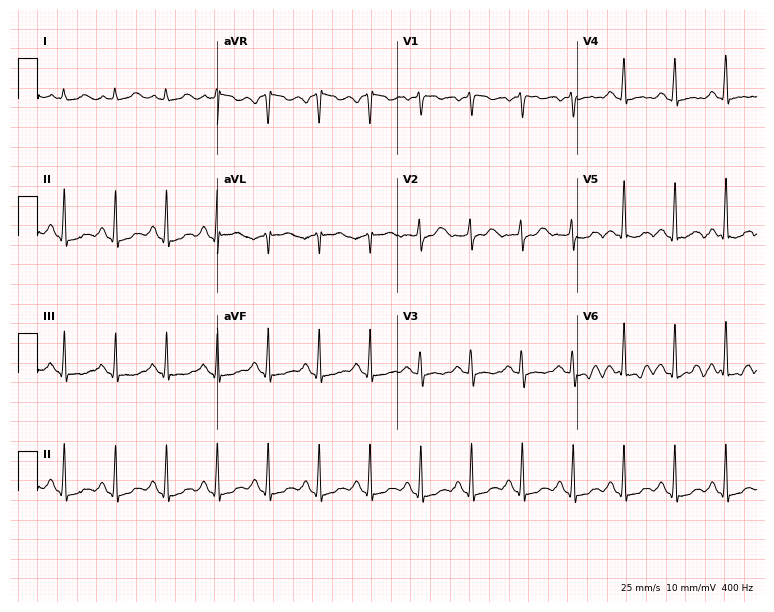
Electrocardiogram (7.3-second recording at 400 Hz), a 29-year-old female. Of the six screened findings (first-degree AV block, right bundle branch block, left bundle branch block, sinus bradycardia, atrial fibrillation, sinus tachycardia), none is recorded.